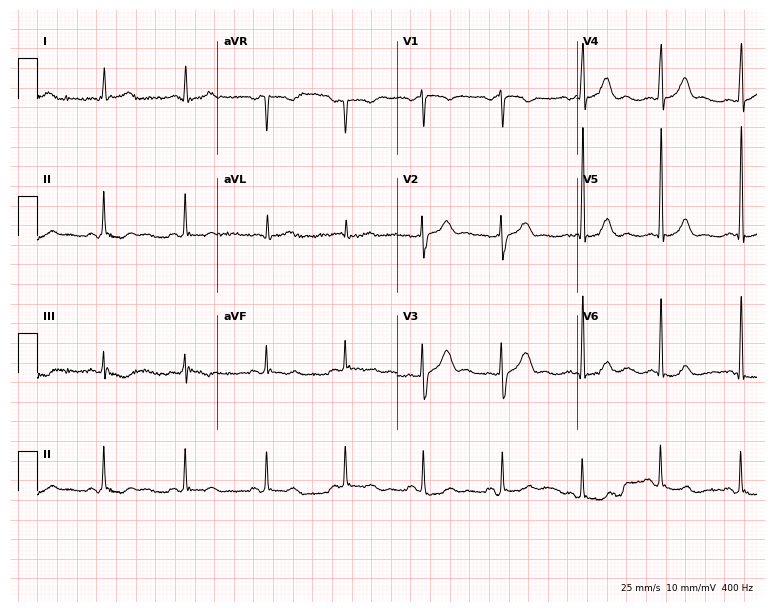
Resting 12-lead electrocardiogram (7.3-second recording at 400 Hz). Patient: a 51-year-old male. Read as a normal ECG.